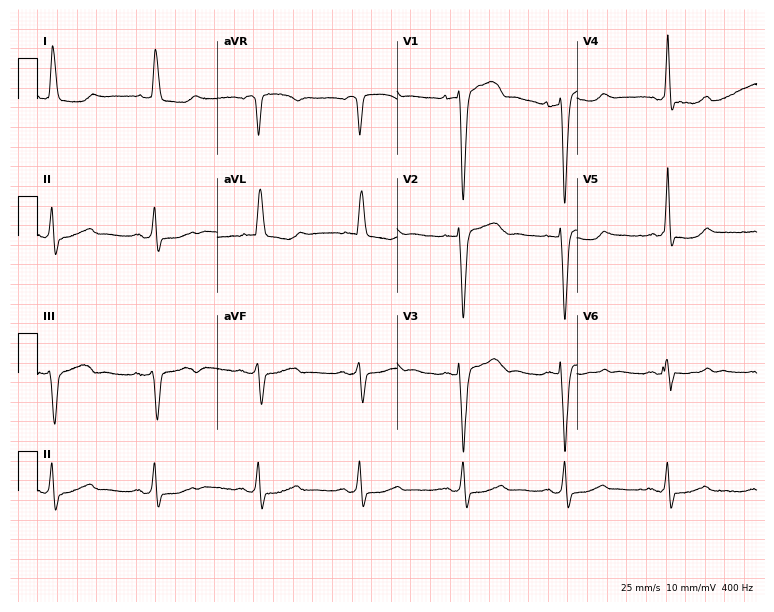
Standard 12-lead ECG recorded from a 77-year-old female (7.3-second recording at 400 Hz). The tracing shows left bundle branch block.